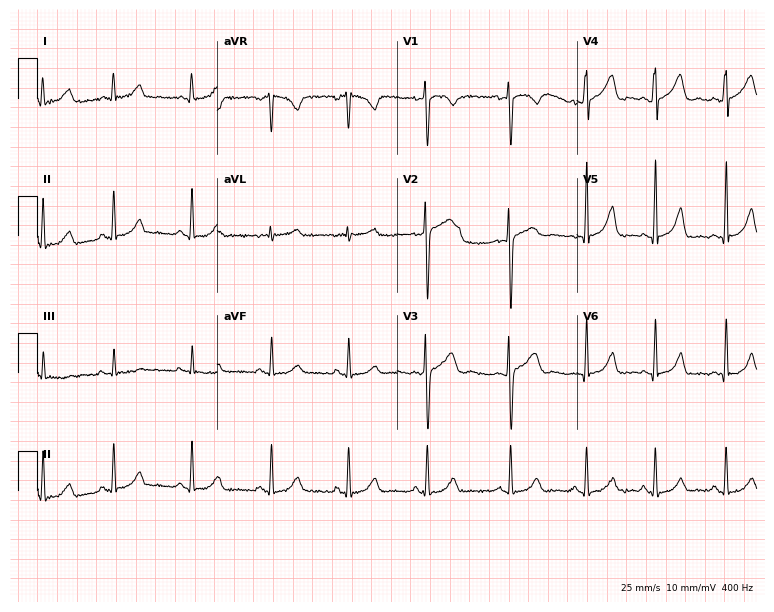
ECG — a 20-year-old female. Labelled as a normal ECG.